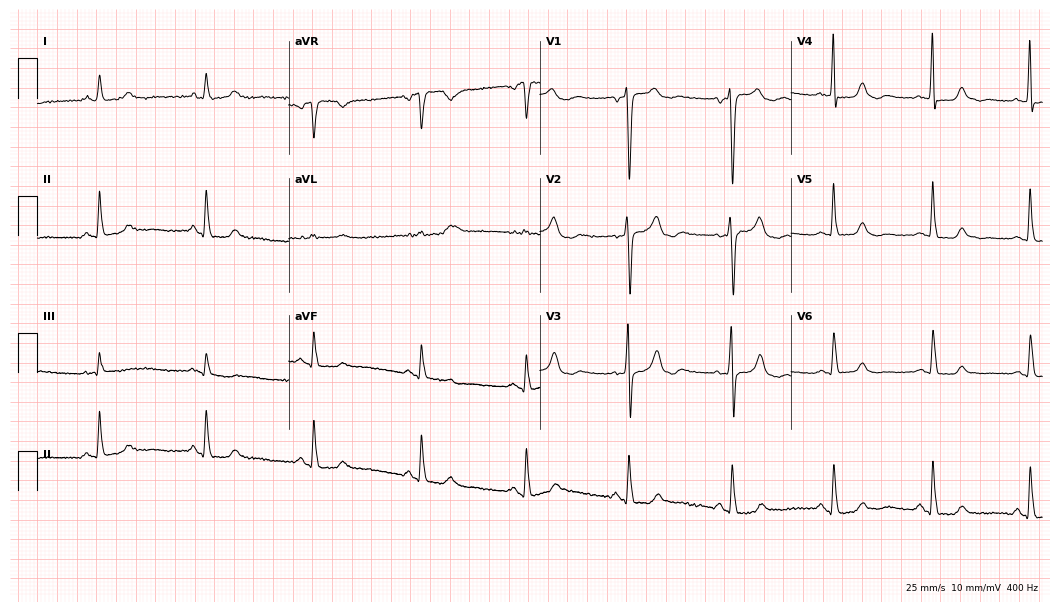
Resting 12-lead electrocardiogram (10.2-second recording at 400 Hz). Patient: a 78-year-old male. Read as a normal ECG.